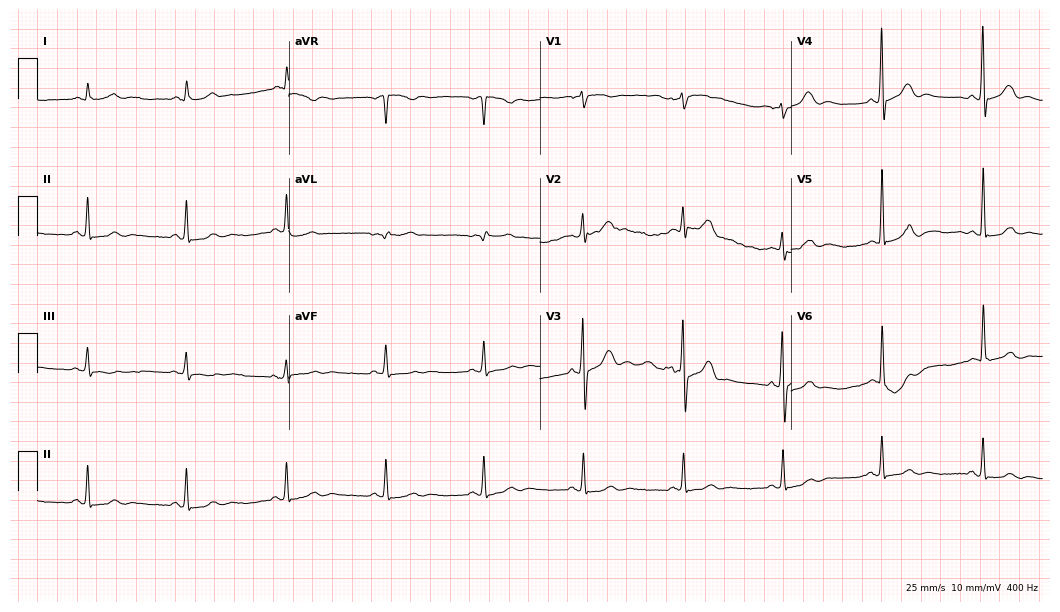
ECG — a 62-year-old male patient. Screened for six findings — first-degree AV block, right bundle branch block, left bundle branch block, sinus bradycardia, atrial fibrillation, sinus tachycardia — none is recorded. Only these six findings were labelled.